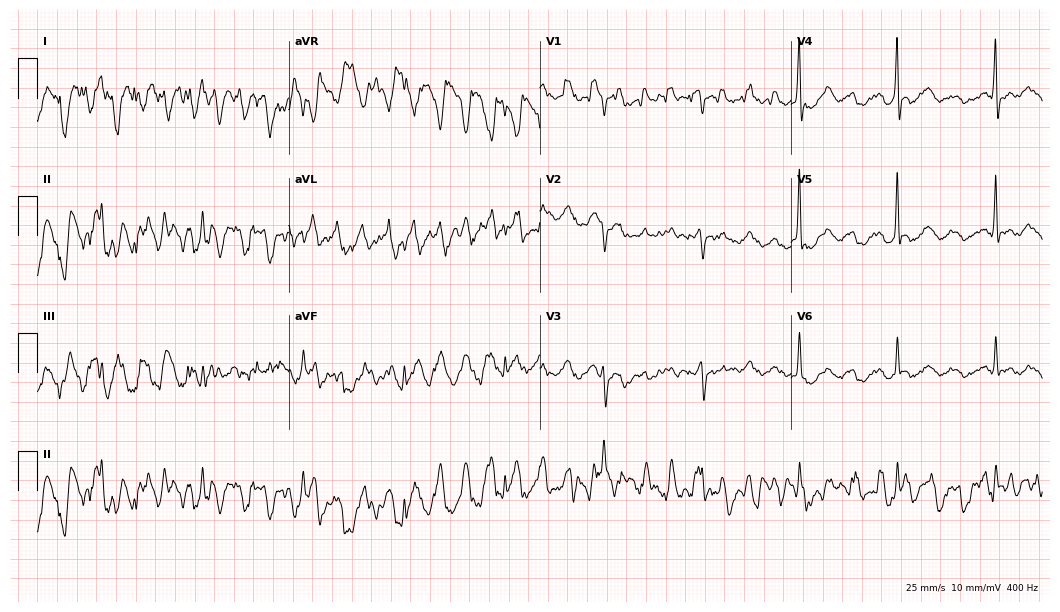
Electrocardiogram, a man, 75 years old. Of the six screened findings (first-degree AV block, right bundle branch block (RBBB), left bundle branch block (LBBB), sinus bradycardia, atrial fibrillation (AF), sinus tachycardia), none is recorded.